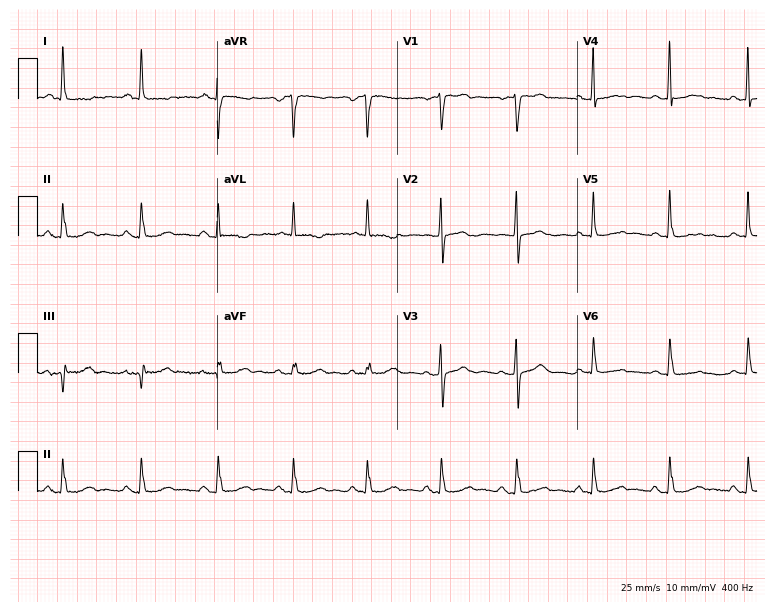
Electrocardiogram (7.3-second recording at 400 Hz), a female, 77 years old. Of the six screened findings (first-degree AV block, right bundle branch block, left bundle branch block, sinus bradycardia, atrial fibrillation, sinus tachycardia), none is recorded. Findings outside these six are not listed.